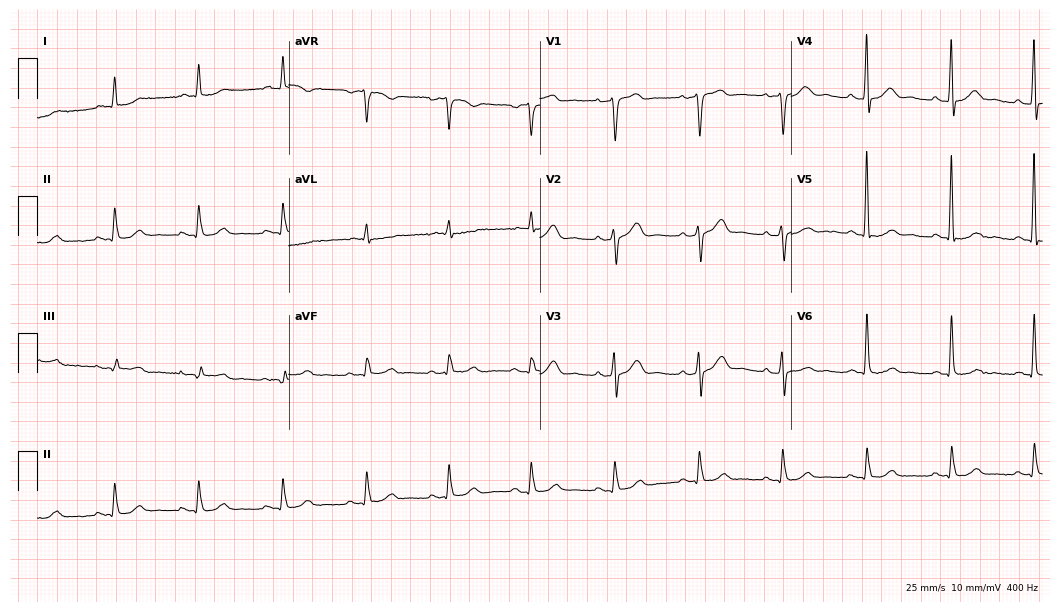
ECG — a 76-year-old male patient. Labelled as a normal ECG.